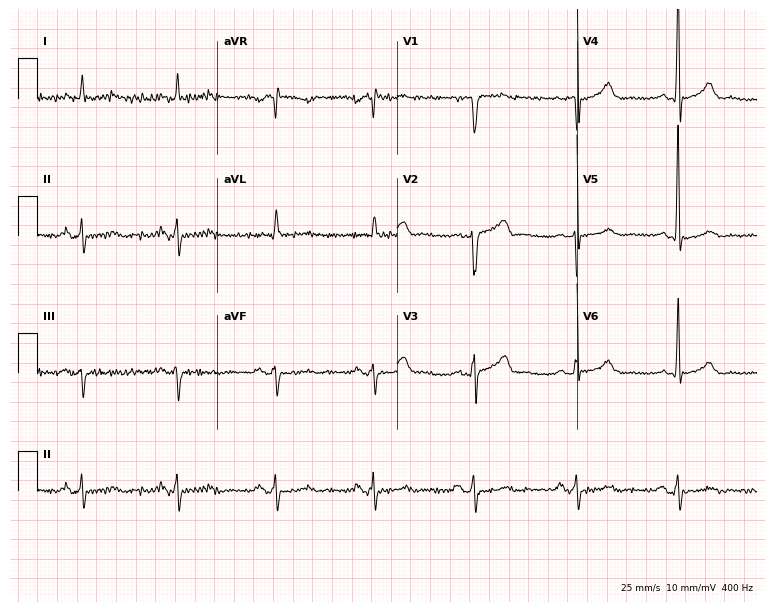
Electrocardiogram (7.3-second recording at 400 Hz), a man, 68 years old. Of the six screened findings (first-degree AV block, right bundle branch block, left bundle branch block, sinus bradycardia, atrial fibrillation, sinus tachycardia), none is recorded. Other findings, if any, are not listed.